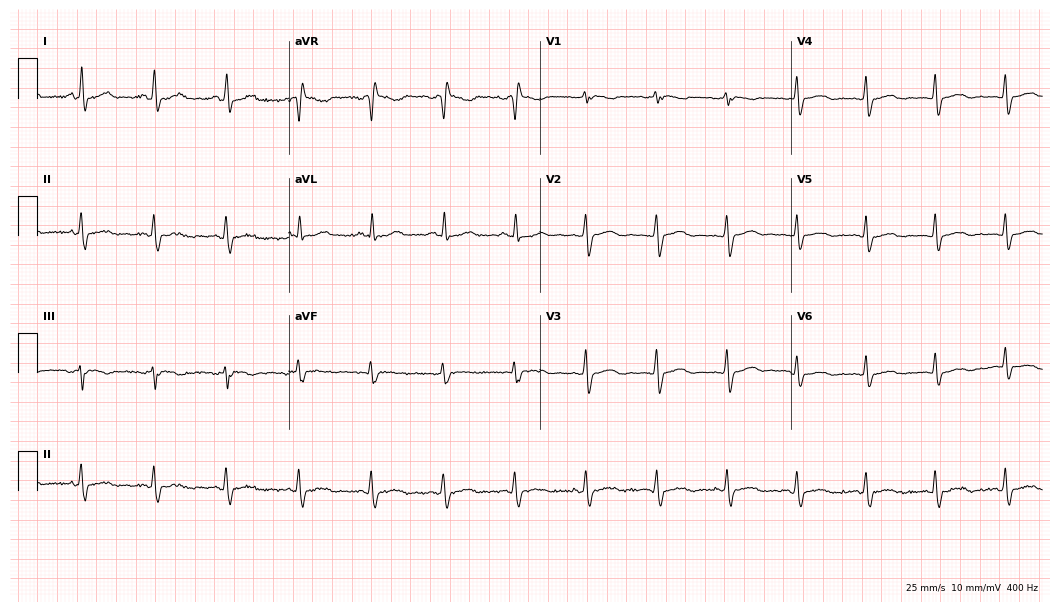
Standard 12-lead ECG recorded from a 45-year-old woman (10.2-second recording at 400 Hz). None of these six findings is recorded: first-degree AV block, right bundle branch block (RBBB), left bundle branch block (LBBB), sinus bradycardia, atrial fibrillation (AF), sinus tachycardia.